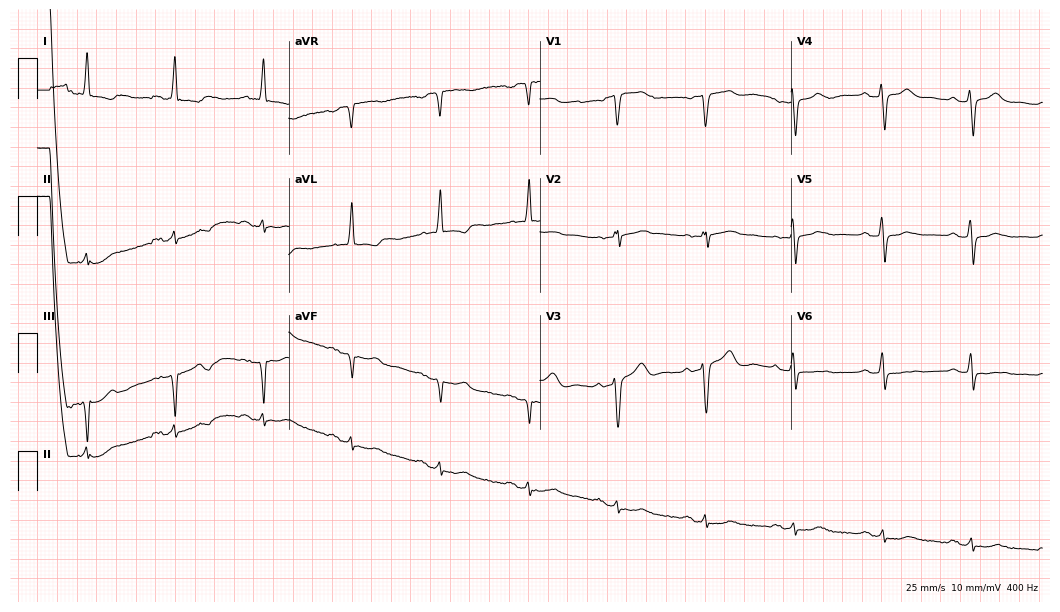
12-lead ECG from a man, 70 years old (10.2-second recording at 400 Hz). No first-degree AV block, right bundle branch block, left bundle branch block, sinus bradycardia, atrial fibrillation or sinus tachycardia recorded for this tracing.